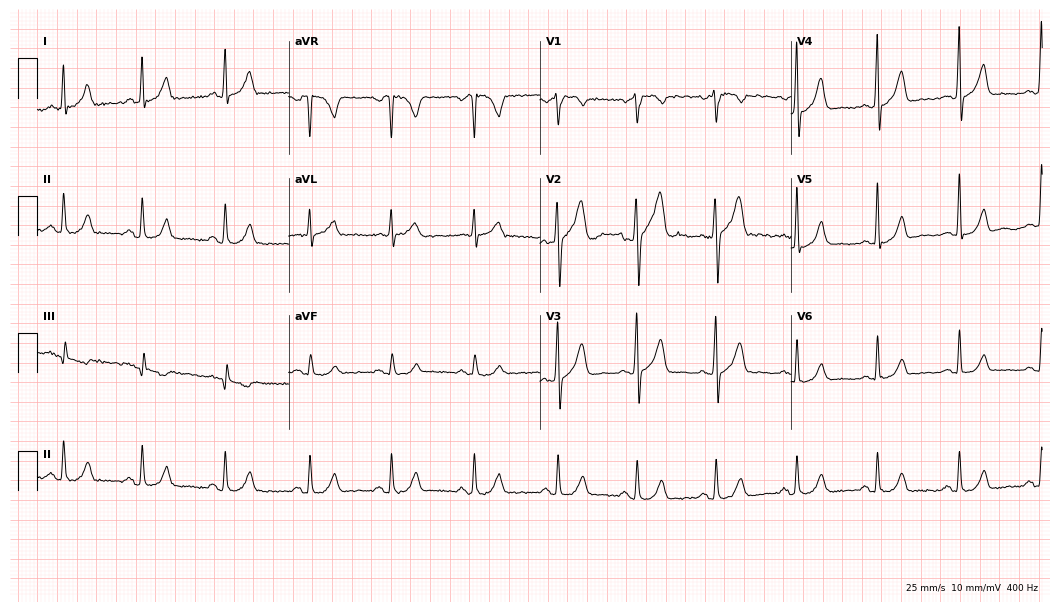
12-lead ECG from a man, 40 years old. Labelled as a normal ECG.